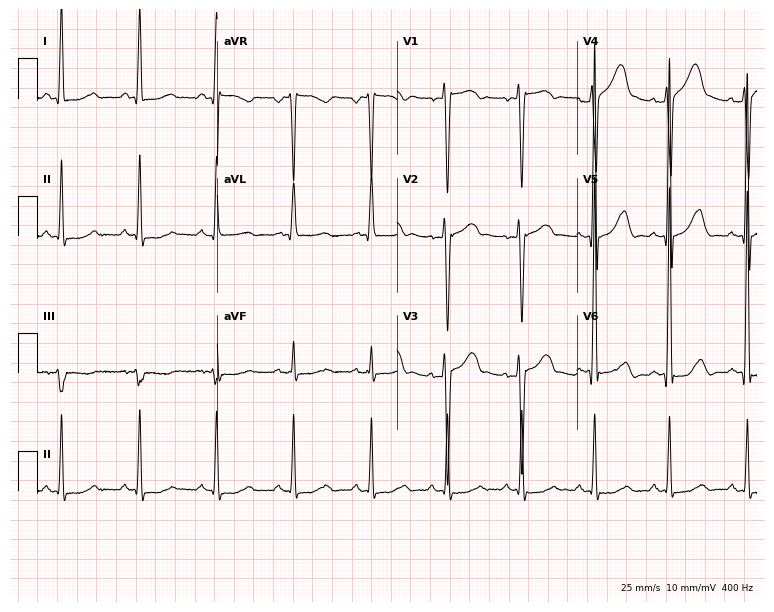
12-lead ECG from a 42-year-old male patient (7.3-second recording at 400 Hz). Recorded interpretation: within normal limits.